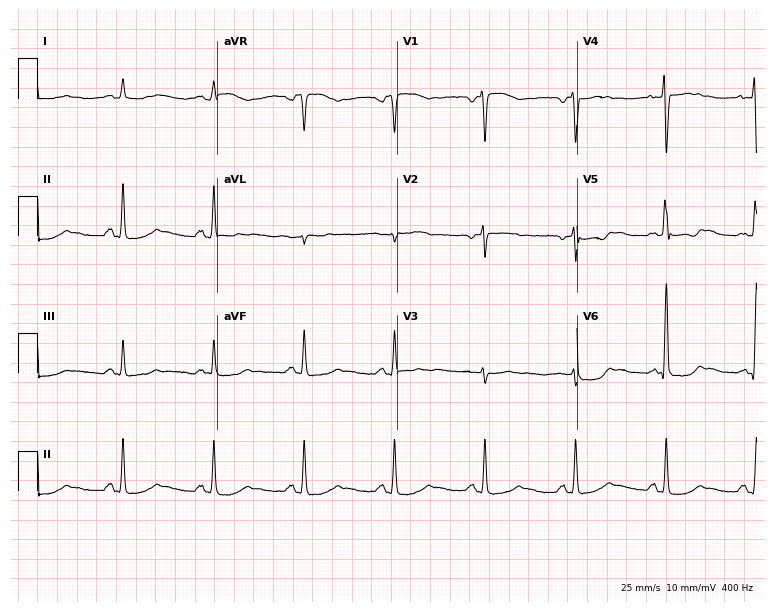
Resting 12-lead electrocardiogram. Patient: a female, 47 years old. None of these six findings is recorded: first-degree AV block, right bundle branch block, left bundle branch block, sinus bradycardia, atrial fibrillation, sinus tachycardia.